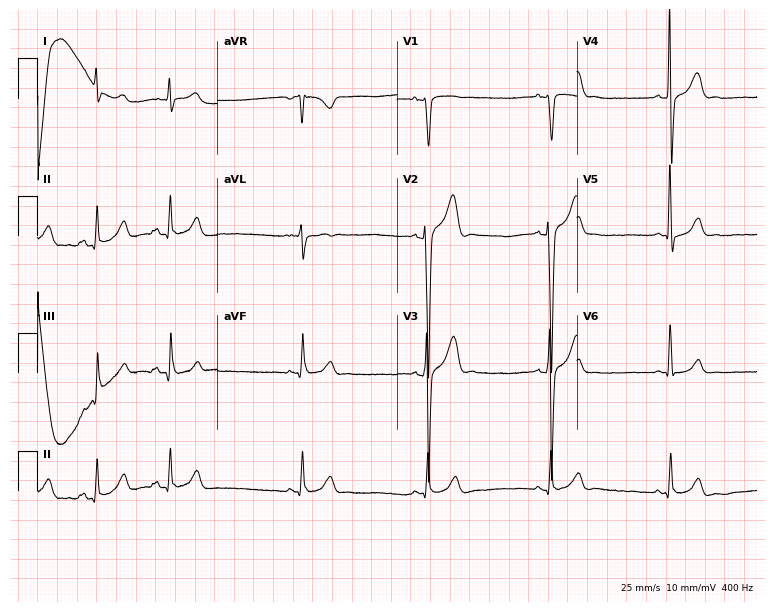
Resting 12-lead electrocardiogram (7.3-second recording at 400 Hz). Patient: a 26-year-old man. None of these six findings is recorded: first-degree AV block, right bundle branch block (RBBB), left bundle branch block (LBBB), sinus bradycardia, atrial fibrillation (AF), sinus tachycardia.